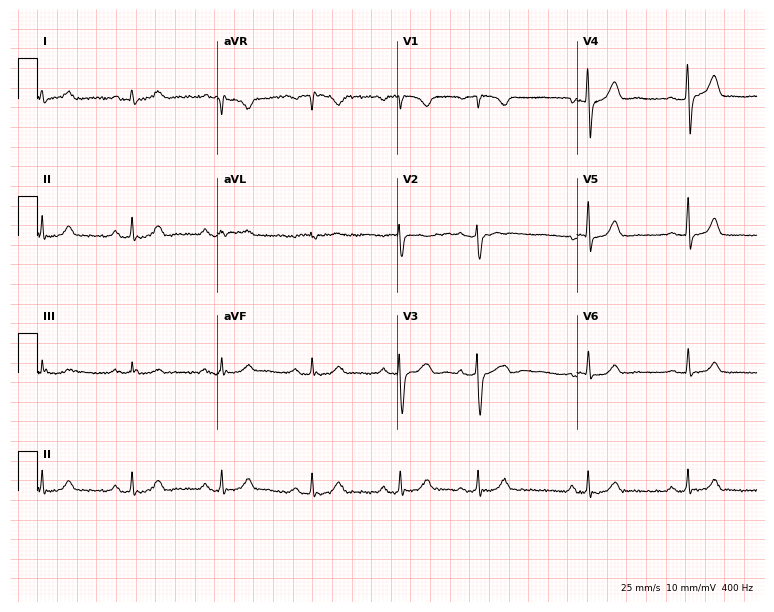
Electrocardiogram (7.3-second recording at 400 Hz), a male patient, 66 years old. Of the six screened findings (first-degree AV block, right bundle branch block (RBBB), left bundle branch block (LBBB), sinus bradycardia, atrial fibrillation (AF), sinus tachycardia), none is recorded.